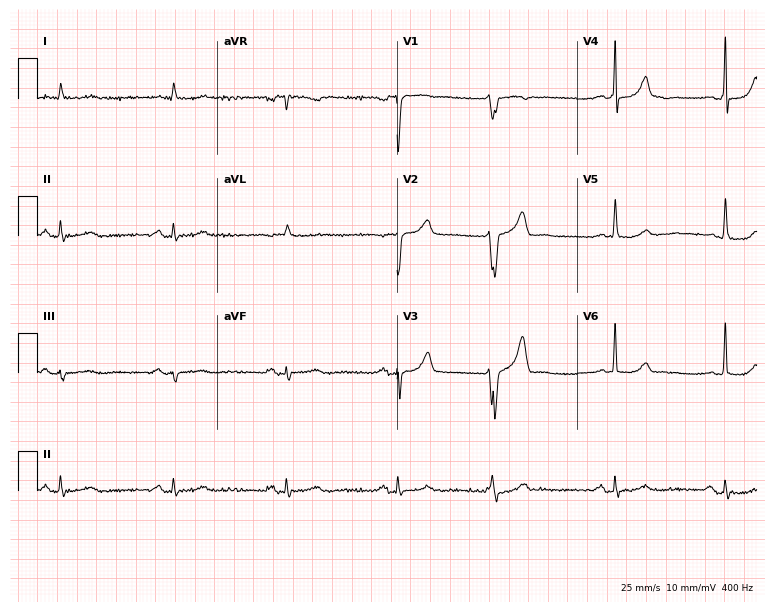
Standard 12-lead ECG recorded from a man, 77 years old. None of these six findings is recorded: first-degree AV block, right bundle branch block, left bundle branch block, sinus bradycardia, atrial fibrillation, sinus tachycardia.